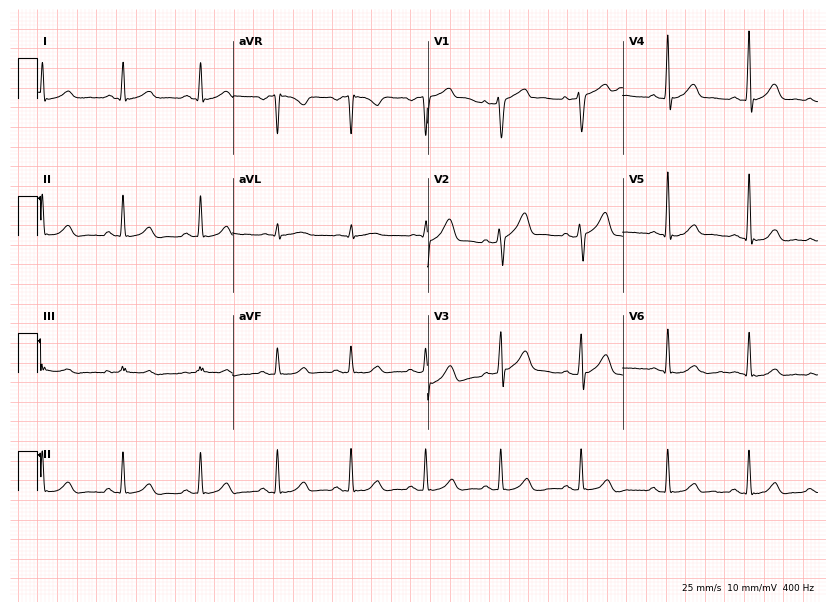
12-lead ECG from a man, 48 years old. Labelled as a normal ECG.